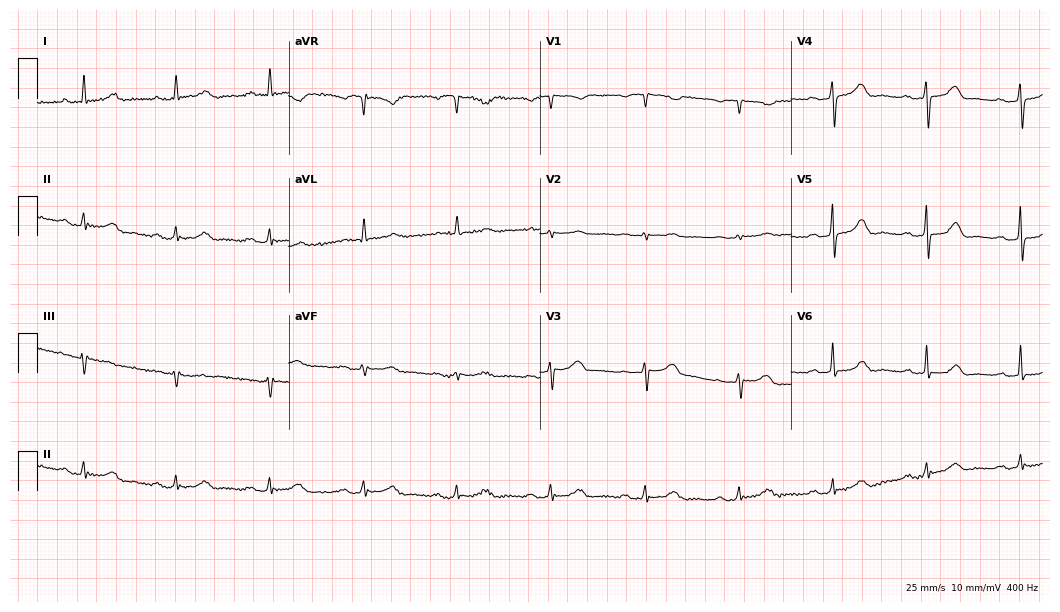
12-lead ECG from a 73-year-old female patient. Recorded interpretation: within normal limits.